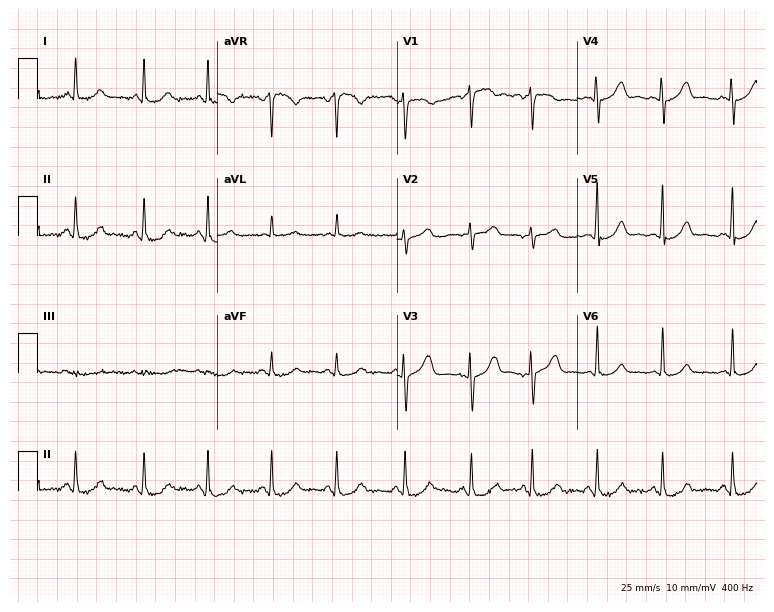
Standard 12-lead ECG recorded from a 56-year-old woman. Read as a normal ECG.